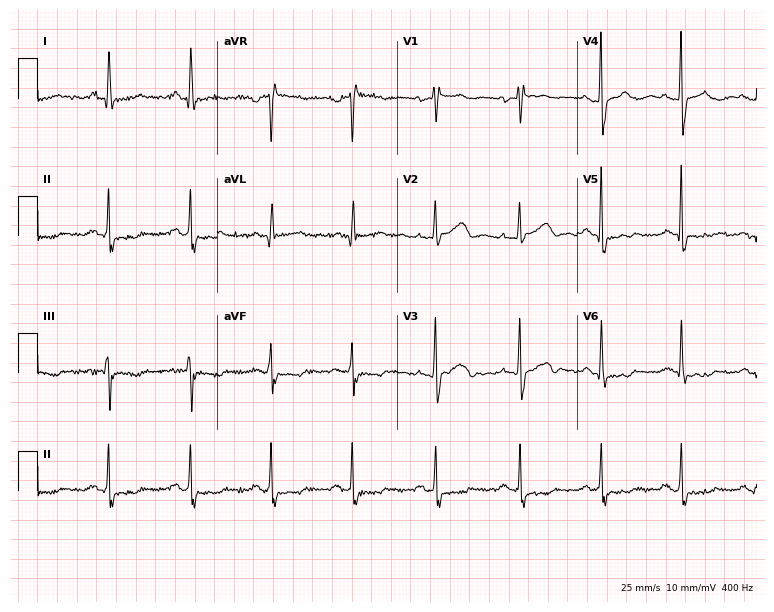
Electrocardiogram (7.3-second recording at 400 Hz), a 45-year-old female patient. Of the six screened findings (first-degree AV block, right bundle branch block, left bundle branch block, sinus bradycardia, atrial fibrillation, sinus tachycardia), none is recorded.